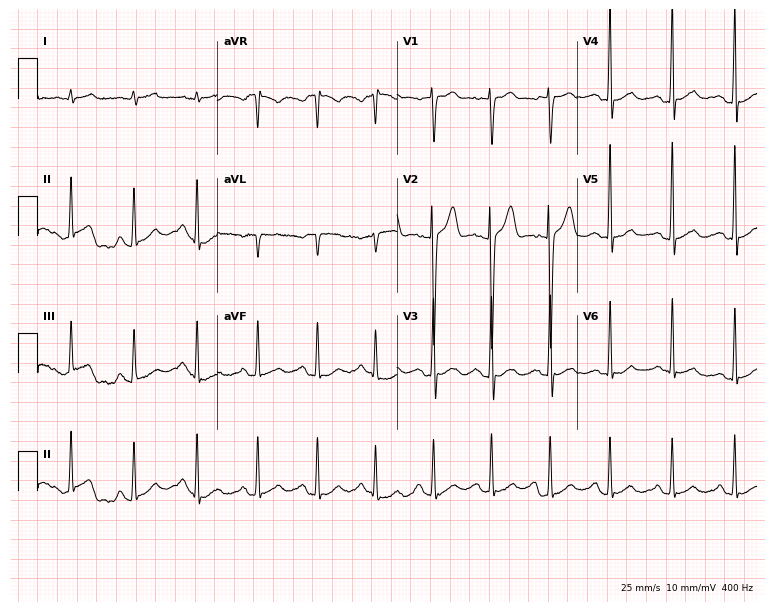
Electrocardiogram (7.3-second recording at 400 Hz), a woman, 33 years old. Overall reading on record: normal ECG.